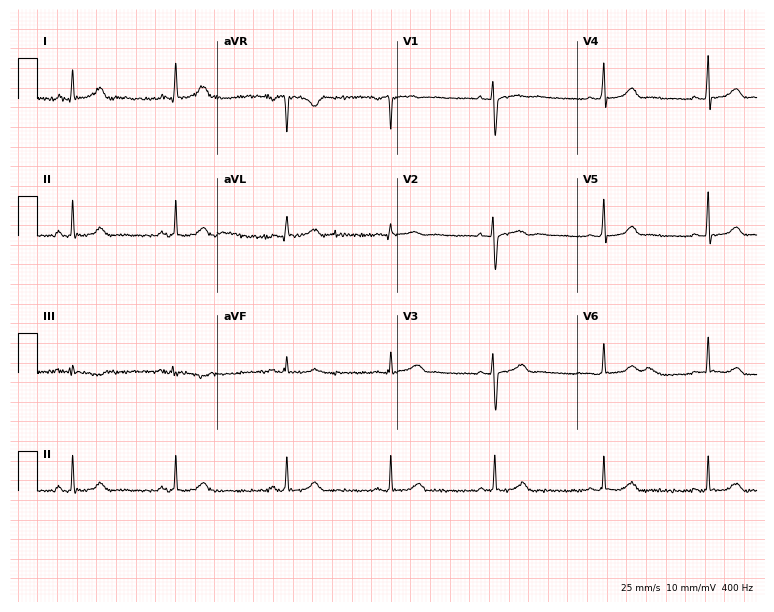
12-lead ECG (7.3-second recording at 400 Hz) from a 40-year-old woman. Labelled as a normal ECG.